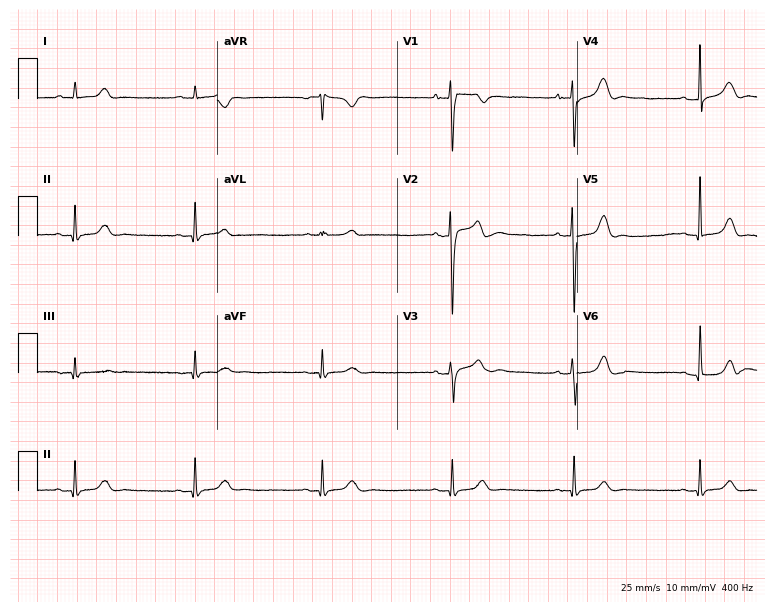
Resting 12-lead electrocardiogram. Patient: a male, 24 years old. The tracing shows sinus bradycardia (a sinus rate of 50 beats per minute or less).